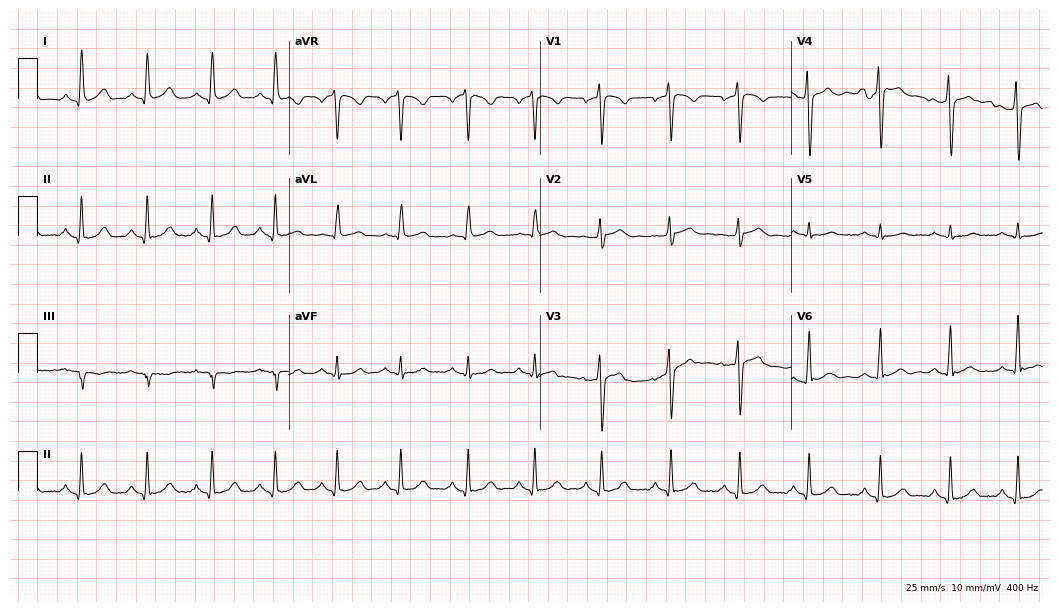
Standard 12-lead ECG recorded from a 38-year-old male (10.2-second recording at 400 Hz). Read as a normal ECG.